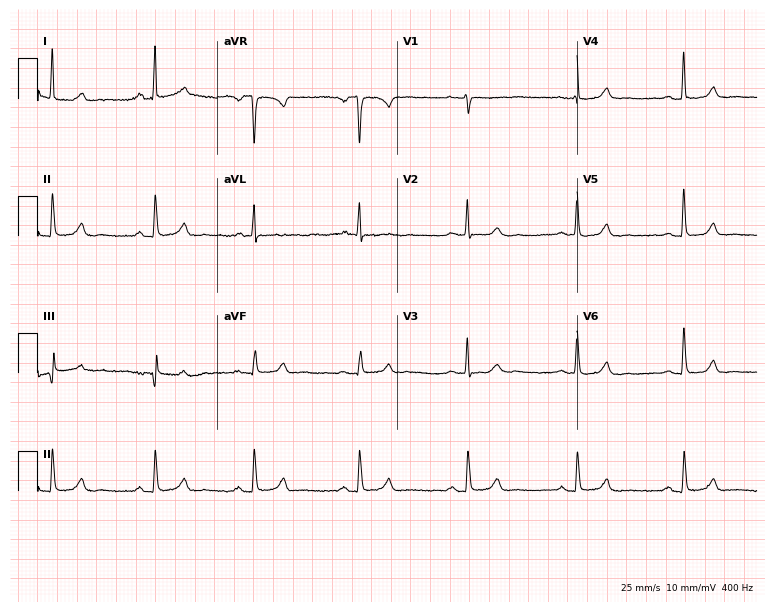
Resting 12-lead electrocardiogram. Patient: a 64-year-old woman. None of these six findings is recorded: first-degree AV block, right bundle branch block, left bundle branch block, sinus bradycardia, atrial fibrillation, sinus tachycardia.